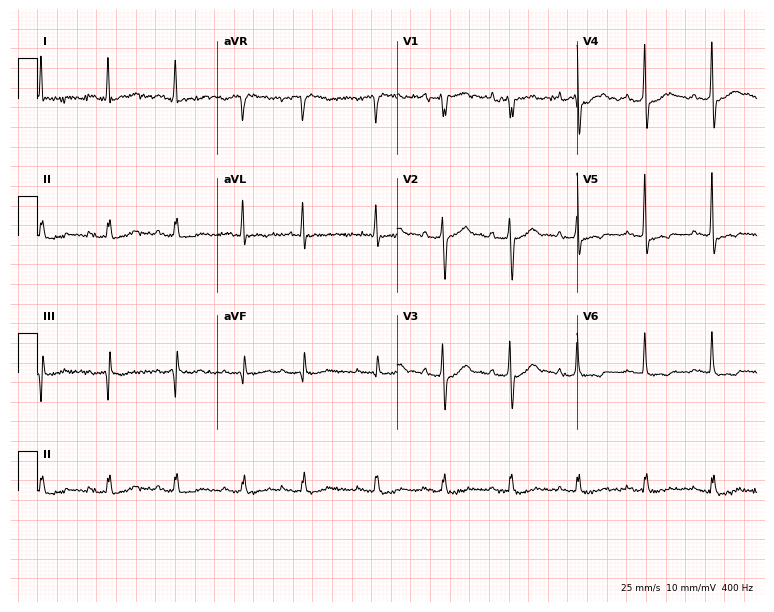
Resting 12-lead electrocardiogram. Patient: an 84-year-old male. None of these six findings is recorded: first-degree AV block, right bundle branch block, left bundle branch block, sinus bradycardia, atrial fibrillation, sinus tachycardia. Findings outside these six are not listed.